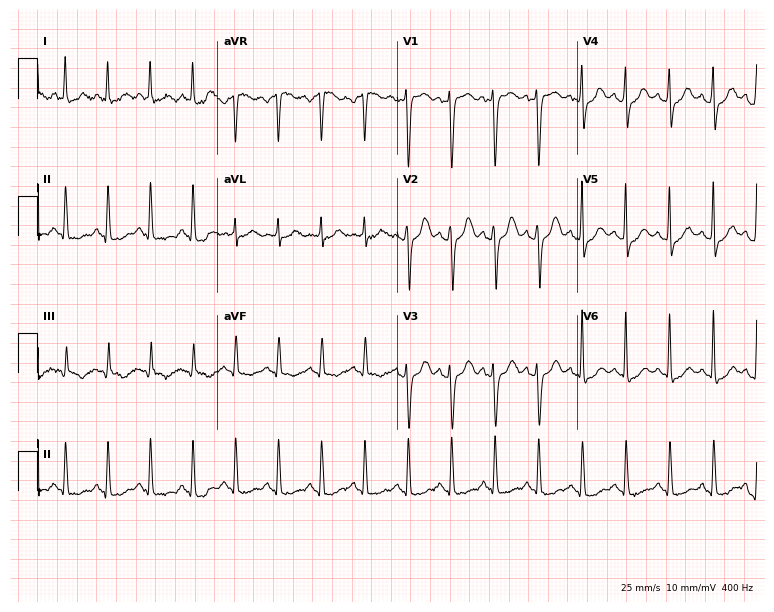
Standard 12-lead ECG recorded from a 56-year-old woman (7.3-second recording at 400 Hz). The tracing shows sinus tachycardia (a sinus rate of 100 beats per minute or more).